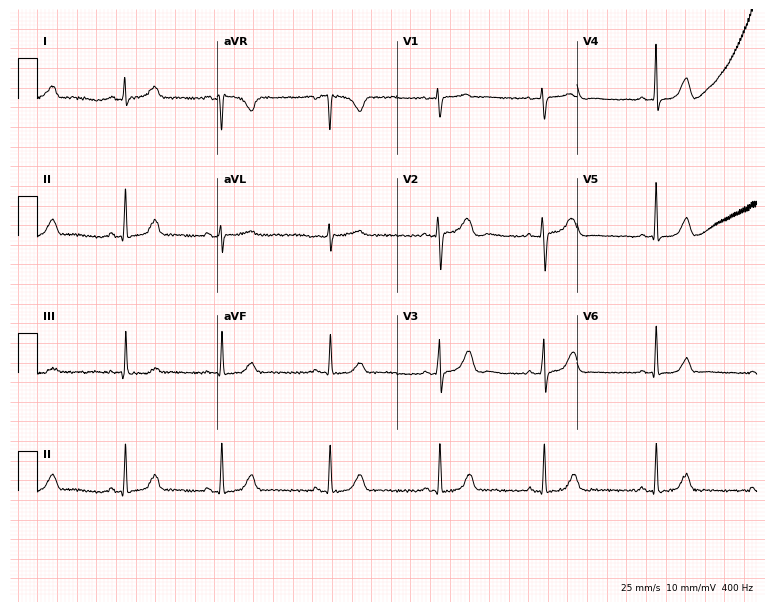
12-lead ECG from a female, 41 years old (7.3-second recording at 400 Hz). No first-degree AV block, right bundle branch block (RBBB), left bundle branch block (LBBB), sinus bradycardia, atrial fibrillation (AF) or sinus tachycardia recorded for this tracing.